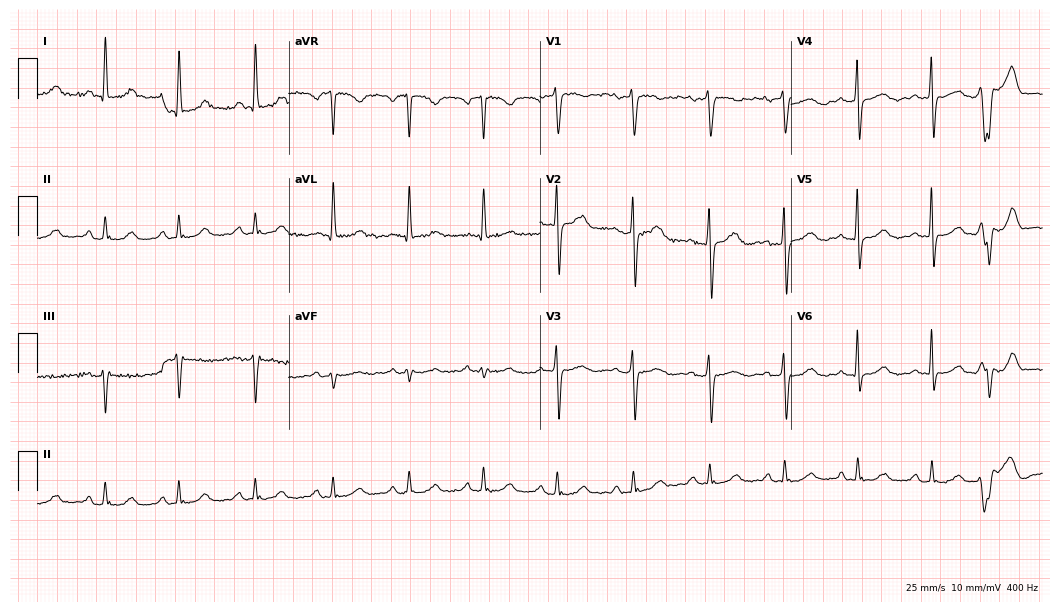
Resting 12-lead electrocardiogram (10.2-second recording at 400 Hz). Patient: a female, 48 years old. Read as a normal ECG.